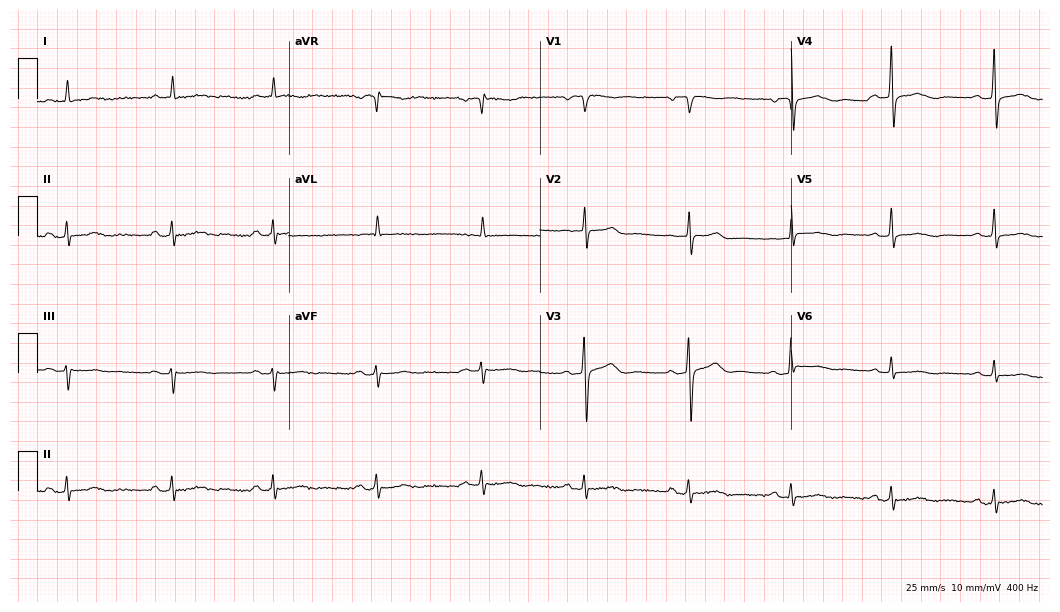
Resting 12-lead electrocardiogram. Patient: a 74-year-old male. Read as a normal ECG.